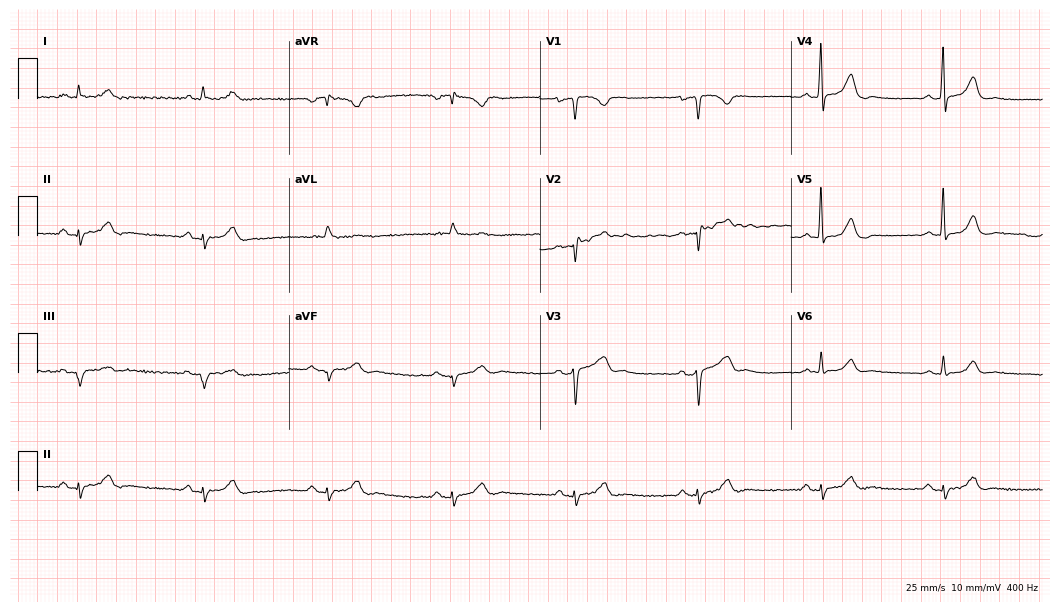
Electrocardiogram, a 57-year-old male patient. Of the six screened findings (first-degree AV block, right bundle branch block, left bundle branch block, sinus bradycardia, atrial fibrillation, sinus tachycardia), none is recorded. Findings outside these six are not listed.